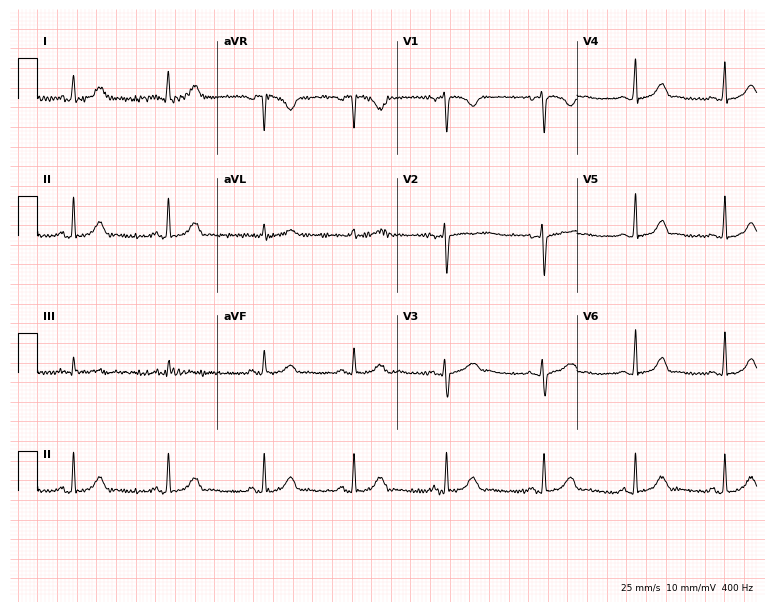
Resting 12-lead electrocardiogram. Patient: a female, 18 years old. None of these six findings is recorded: first-degree AV block, right bundle branch block, left bundle branch block, sinus bradycardia, atrial fibrillation, sinus tachycardia. Only these six findings were labelled.